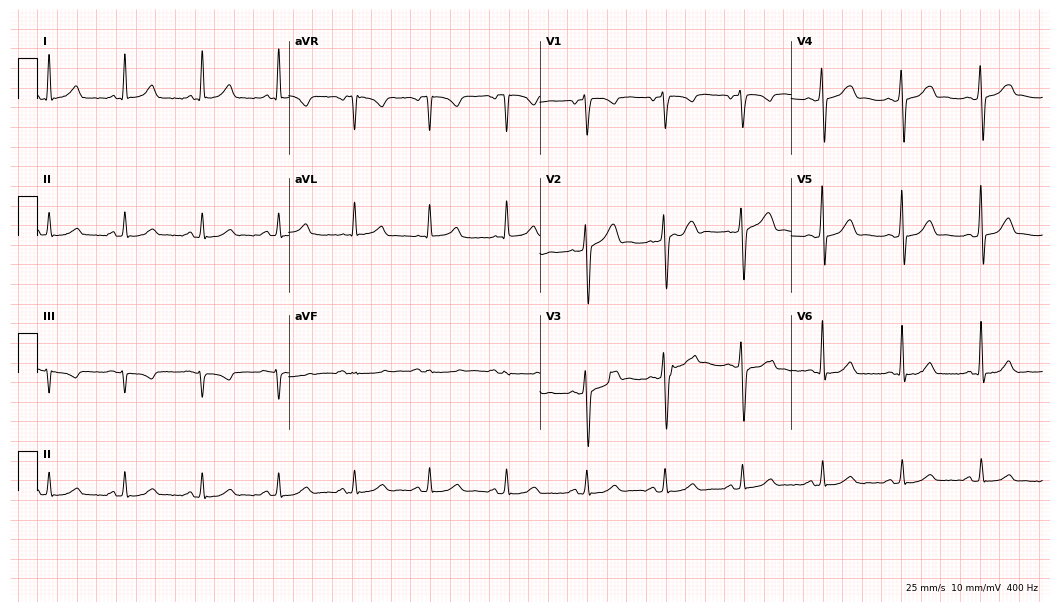
ECG — a male, 49 years old. Screened for six findings — first-degree AV block, right bundle branch block (RBBB), left bundle branch block (LBBB), sinus bradycardia, atrial fibrillation (AF), sinus tachycardia — none is recorded.